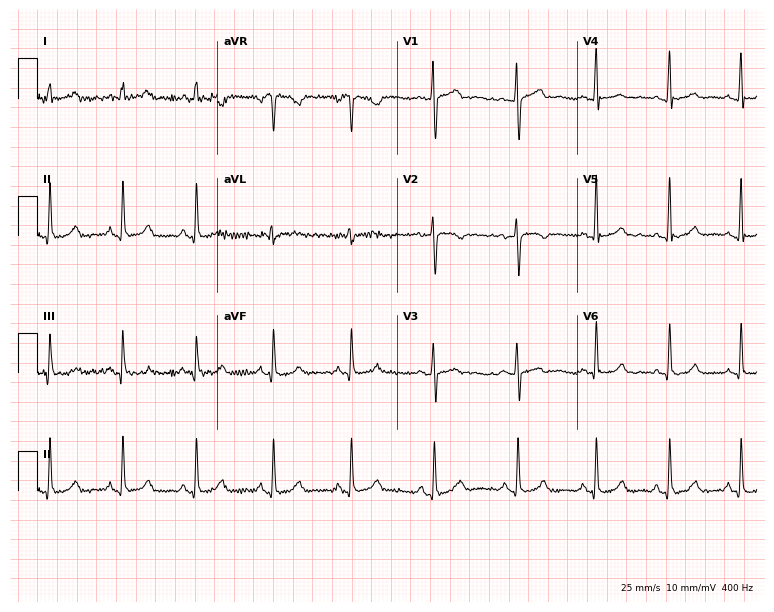
Electrocardiogram, a woman, 28 years old. Of the six screened findings (first-degree AV block, right bundle branch block, left bundle branch block, sinus bradycardia, atrial fibrillation, sinus tachycardia), none is recorded. Findings outside these six are not listed.